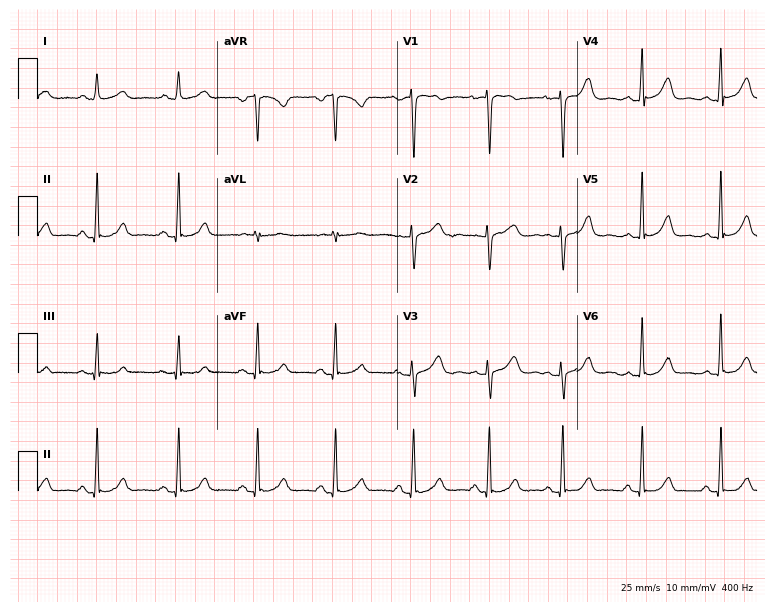
12-lead ECG from a woman, 49 years old. Screened for six findings — first-degree AV block, right bundle branch block, left bundle branch block, sinus bradycardia, atrial fibrillation, sinus tachycardia — none is recorded. Findings outside these six are not listed.